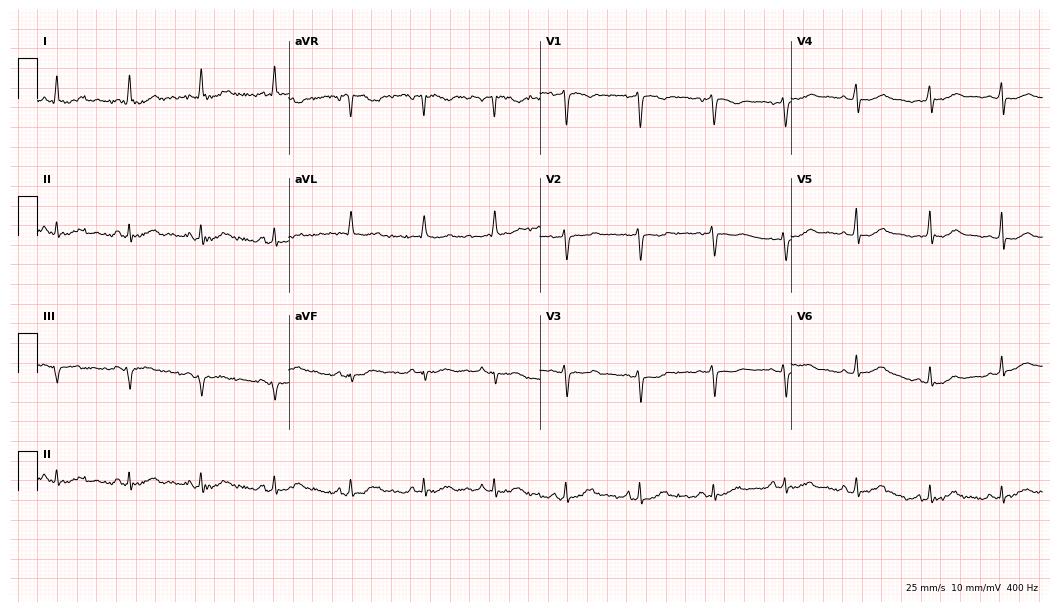
Resting 12-lead electrocardiogram. Patient: a 52-year-old female. None of these six findings is recorded: first-degree AV block, right bundle branch block, left bundle branch block, sinus bradycardia, atrial fibrillation, sinus tachycardia.